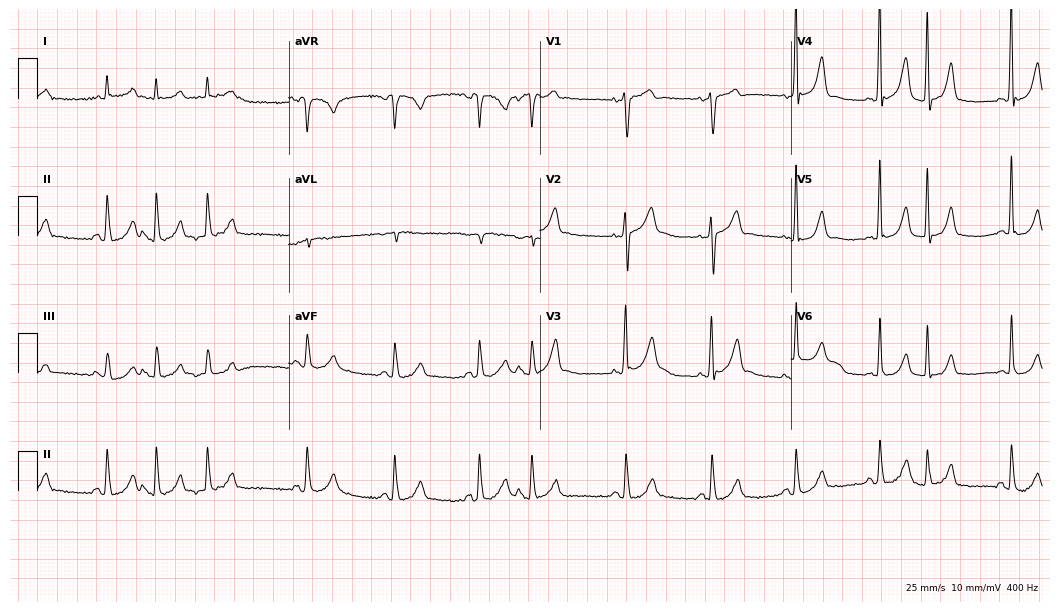
ECG — a 78-year-old man. Screened for six findings — first-degree AV block, right bundle branch block, left bundle branch block, sinus bradycardia, atrial fibrillation, sinus tachycardia — none is recorded. Only these six findings were labelled.